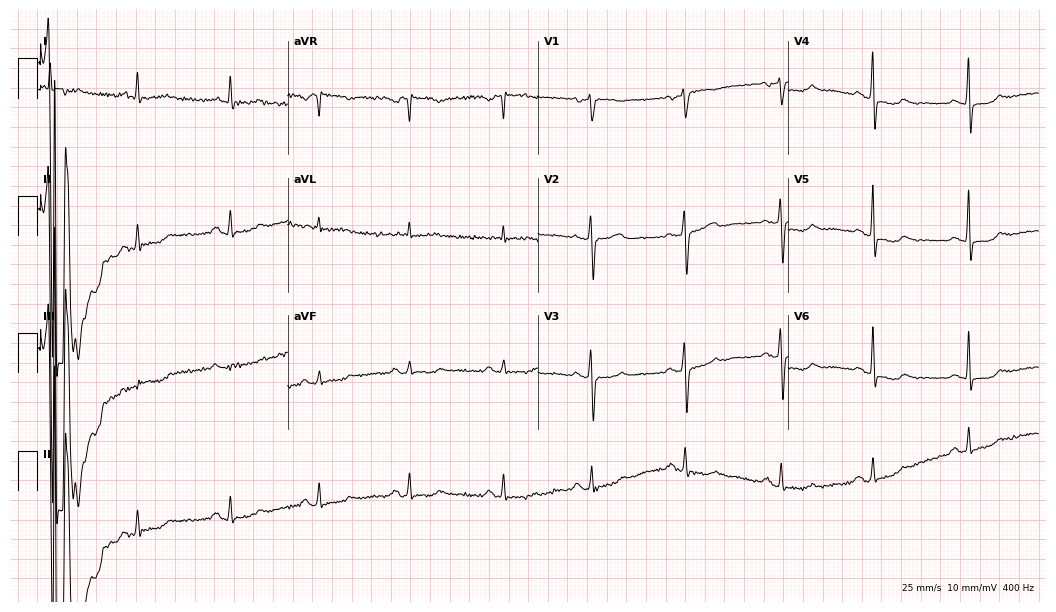
12-lead ECG (10.2-second recording at 400 Hz) from a female patient, 57 years old. Screened for six findings — first-degree AV block, right bundle branch block, left bundle branch block, sinus bradycardia, atrial fibrillation, sinus tachycardia — none is recorded. Findings outside these six are not listed.